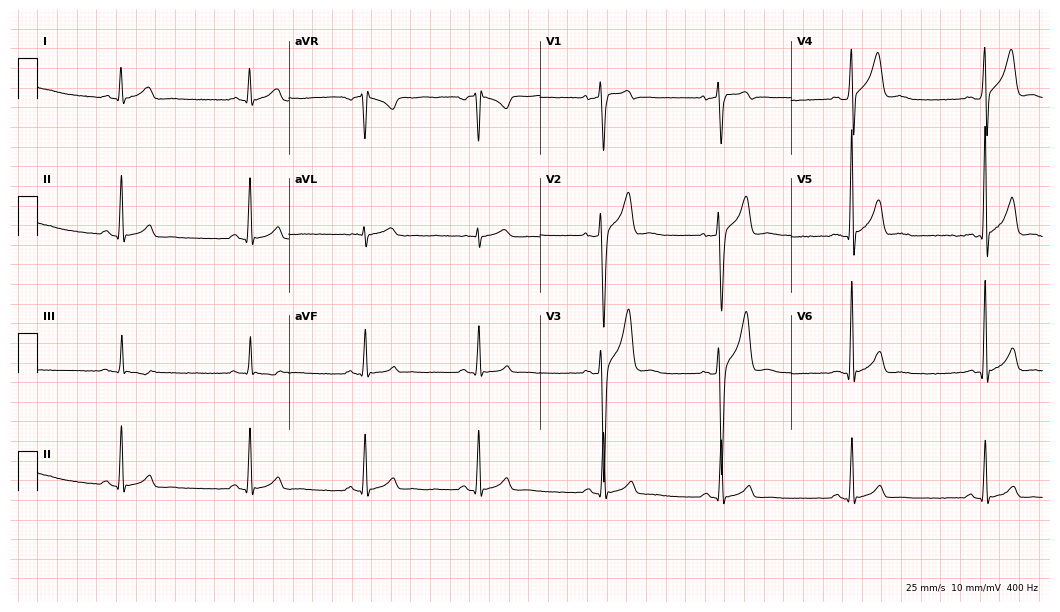
Standard 12-lead ECG recorded from a male patient, 32 years old. Read as a normal ECG.